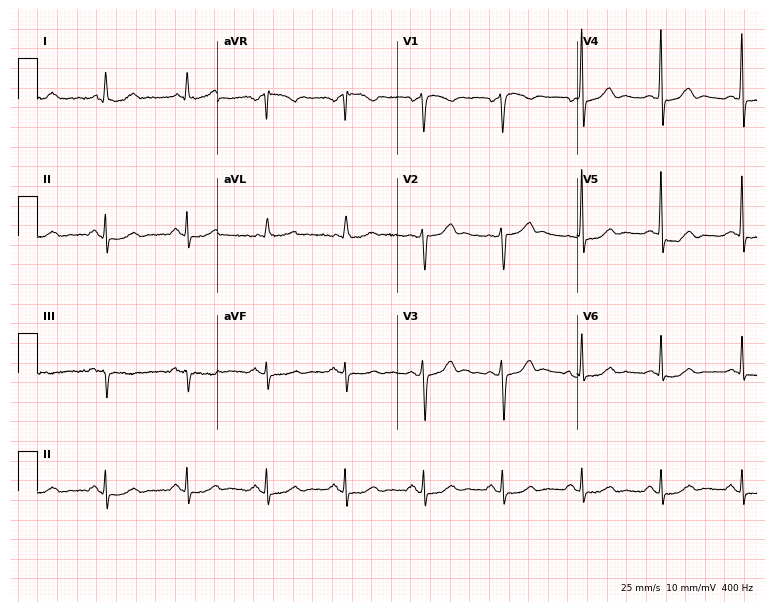
12-lead ECG from a 78-year-old male patient. Recorded interpretation: within normal limits.